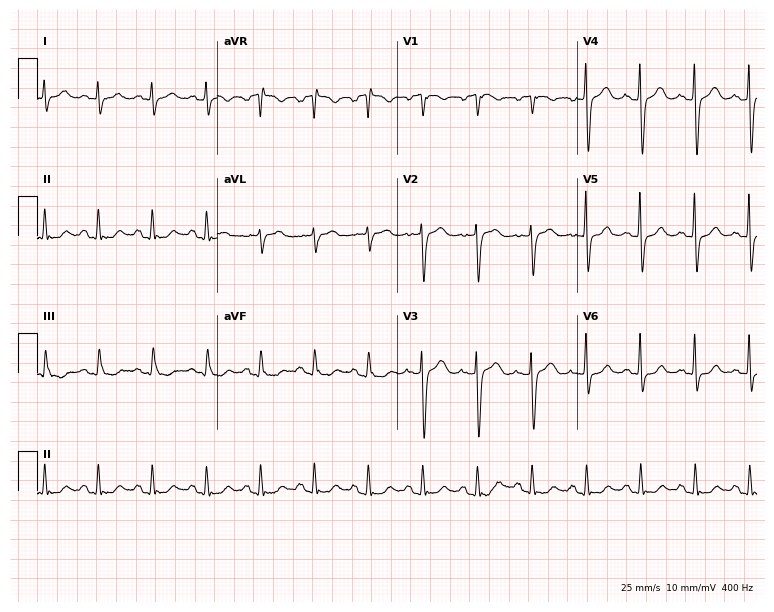
12-lead ECG (7.3-second recording at 400 Hz) from a female, 61 years old. Findings include sinus tachycardia (a sinus rate of 100 beats per minute or more).